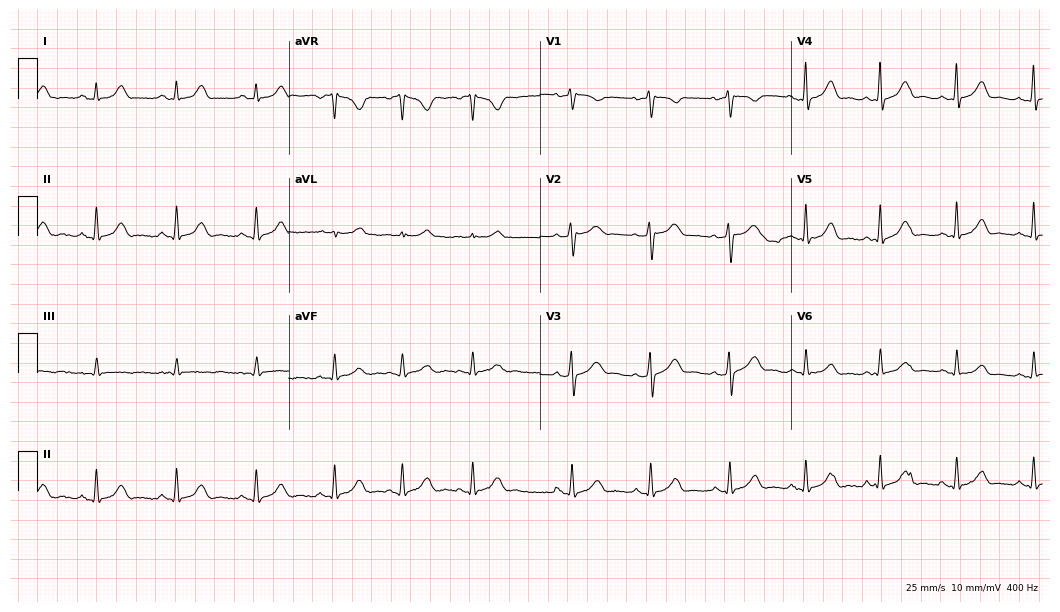
Resting 12-lead electrocardiogram. Patient: a female, 39 years old. None of these six findings is recorded: first-degree AV block, right bundle branch block, left bundle branch block, sinus bradycardia, atrial fibrillation, sinus tachycardia. Other findings, if any, are not listed.